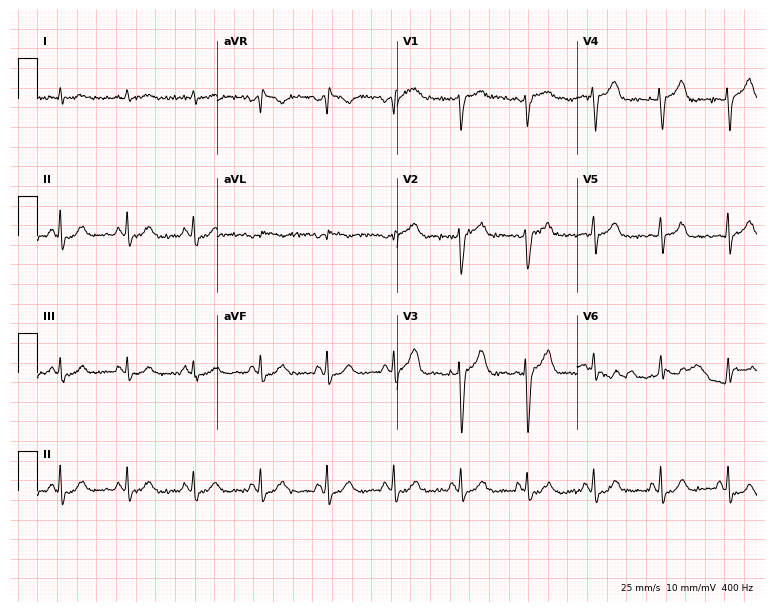
Standard 12-lead ECG recorded from a female patient, 79 years old. None of these six findings is recorded: first-degree AV block, right bundle branch block (RBBB), left bundle branch block (LBBB), sinus bradycardia, atrial fibrillation (AF), sinus tachycardia.